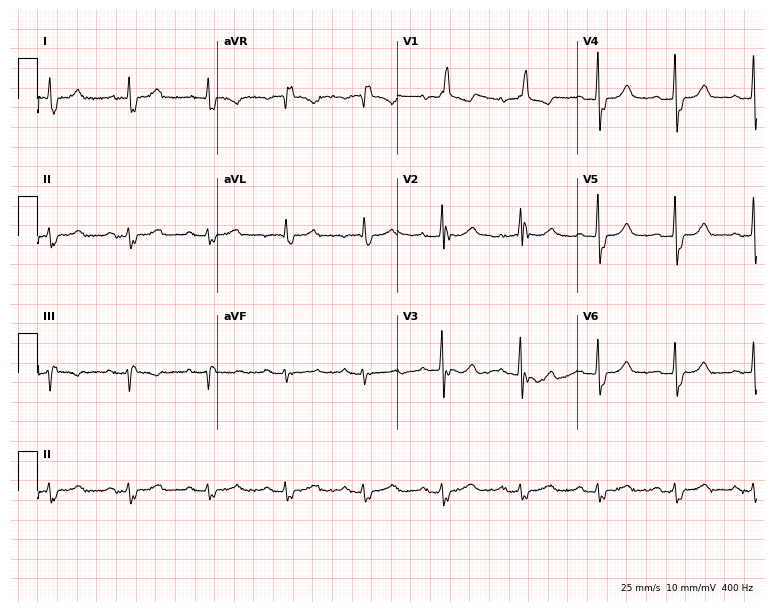
12-lead ECG from a 72-year-old man. Screened for six findings — first-degree AV block, right bundle branch block (RBBB), left bundle branch block (LBBB), sinus bradycardia, atrial fibrillation (AF), sinus tachycardia — none is recorded.